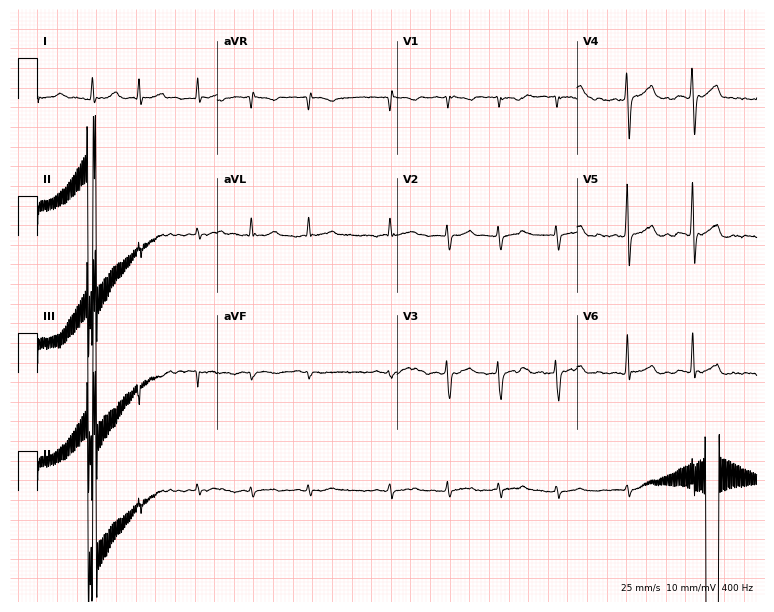
ECG — a male patient, 73 years old. Findings include atrial fibrillation.